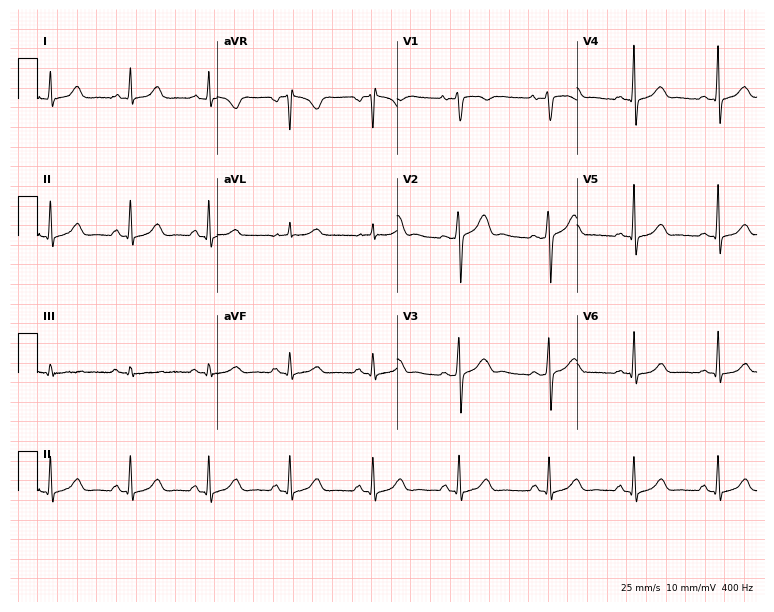
Standard 12-lead ECG recorded from a female patient, 32 years old. Read as a normal ECG.